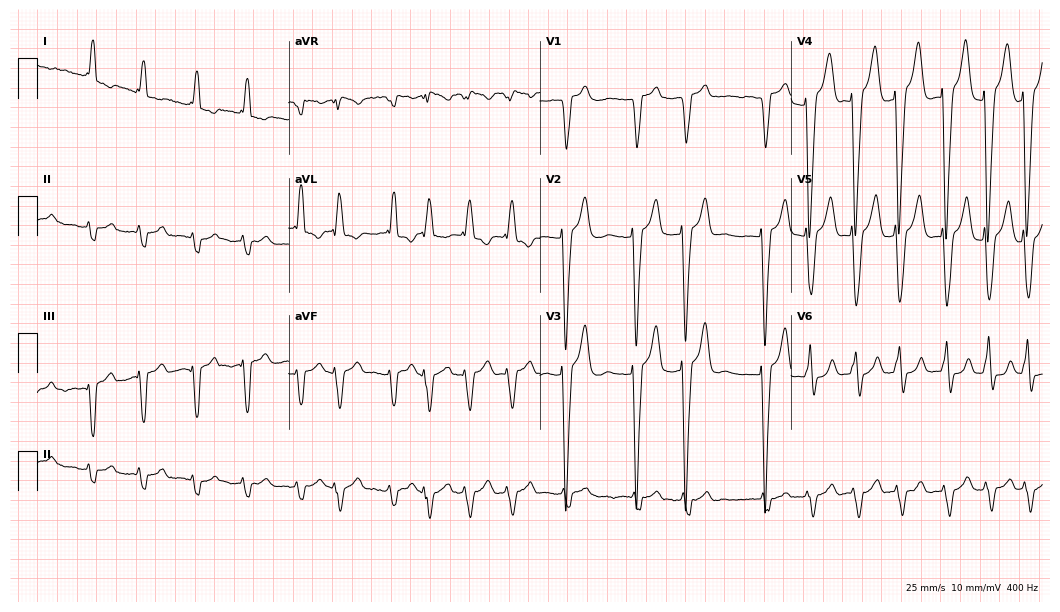
12-lead ECG from a woman, 76 years old. Screened for six findings — first-degree AV block, right bundle branch block, left bundle branch block, sinus bradycardia, atrial fibrillation, sinus tachycardia — none is recorded.